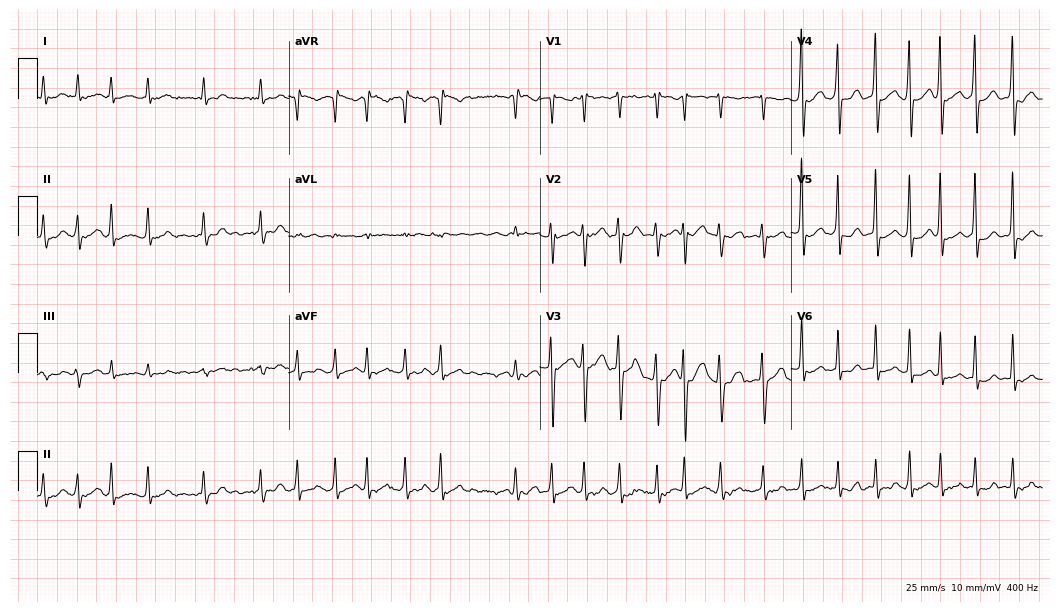
ECG — a 74-year-old man. Findings include atrial fibrillation (AF).